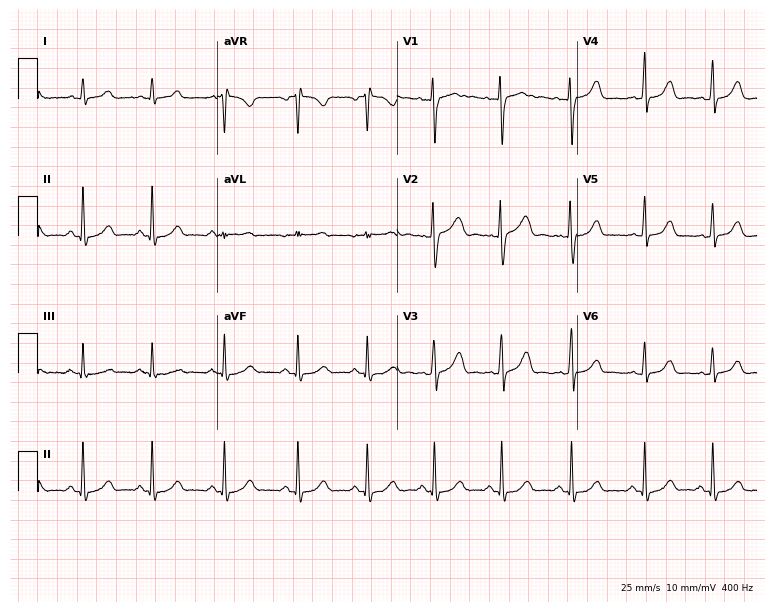
Resting 12-lead electrocardiogram. Patient: a woman, 17 years old. Read as a normal ECG.